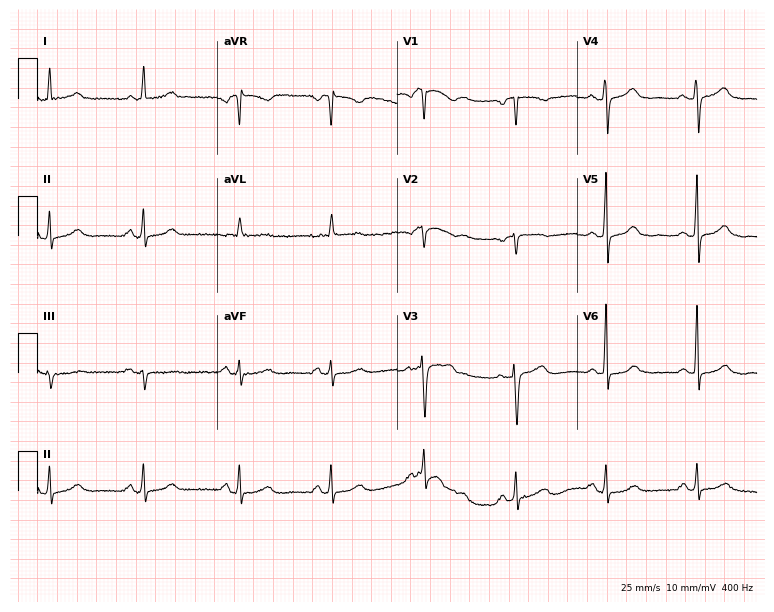
12-lead ECG from a 71-year-old female patient. Recorded interpretation: within normal limits.